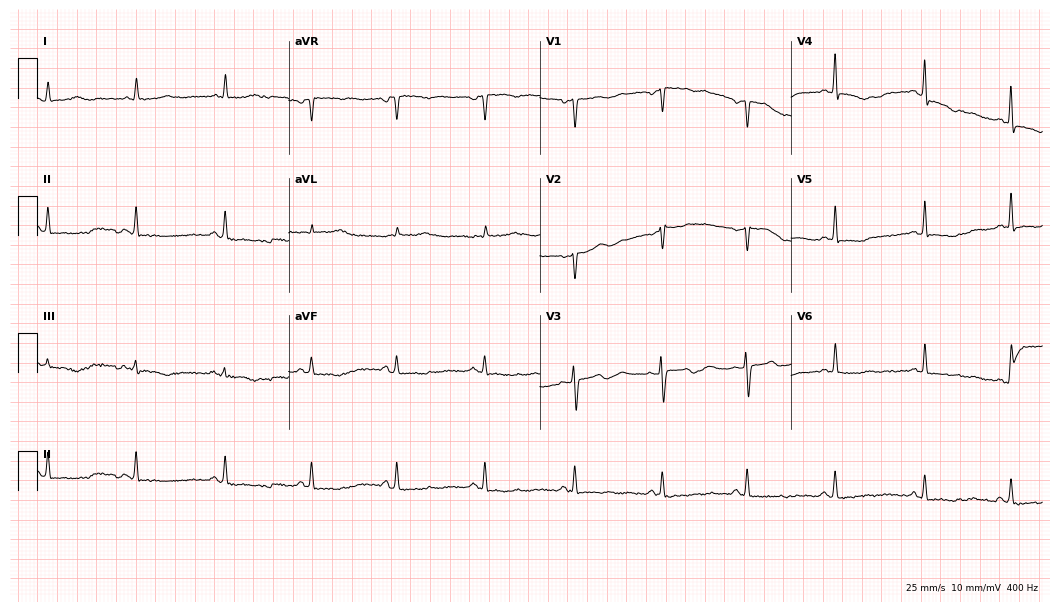
12-lead ECG from a female patient, 48 years old. No first-degree AV block, right bundle branch block (RBBB), left bundle branch block (LBBB), sinus bradycardia, atrial fibrillation (AF) or sinus tachycardia recorded for this tracing. Other findings, if any, are not listed.